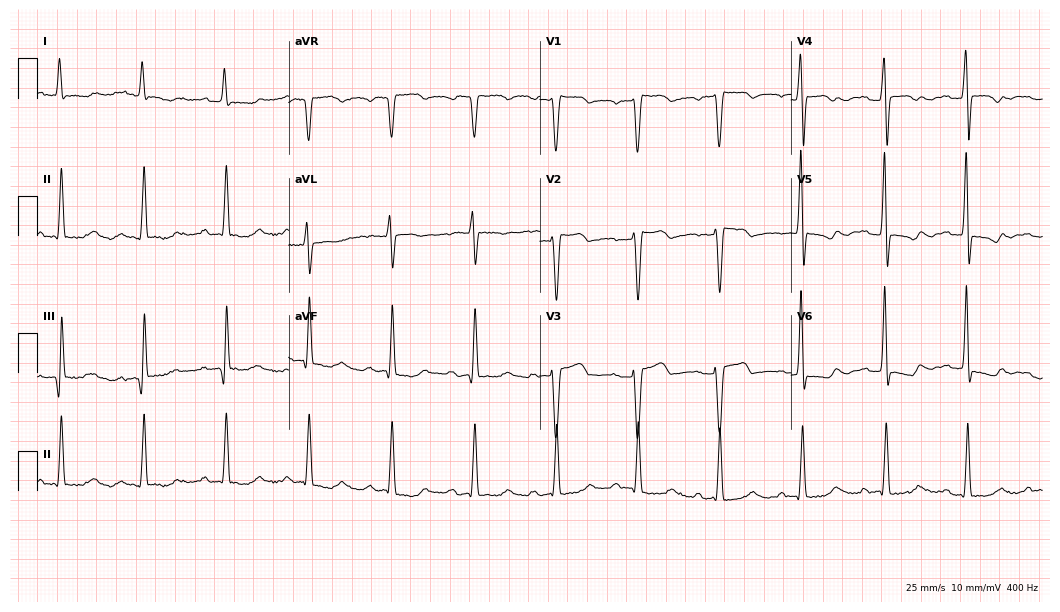
Standard 12-lead ECG recorded from a female patient, 80 years old (10.2-second recording at 400 Hz). None of these six findings is recorded: first-degree AV block, right bundle branch block, left bundle branch block, sinus bradycardia, atrial fibrillation, sinus tachycardia. Findings outside these six are not listed.